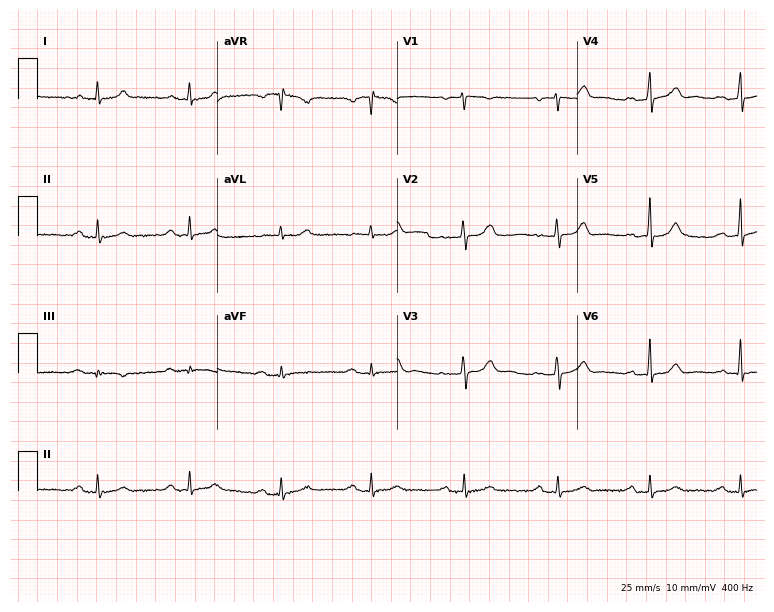
12-lead ECG from a 41-year-old female patient. Shows first-degree AV block.